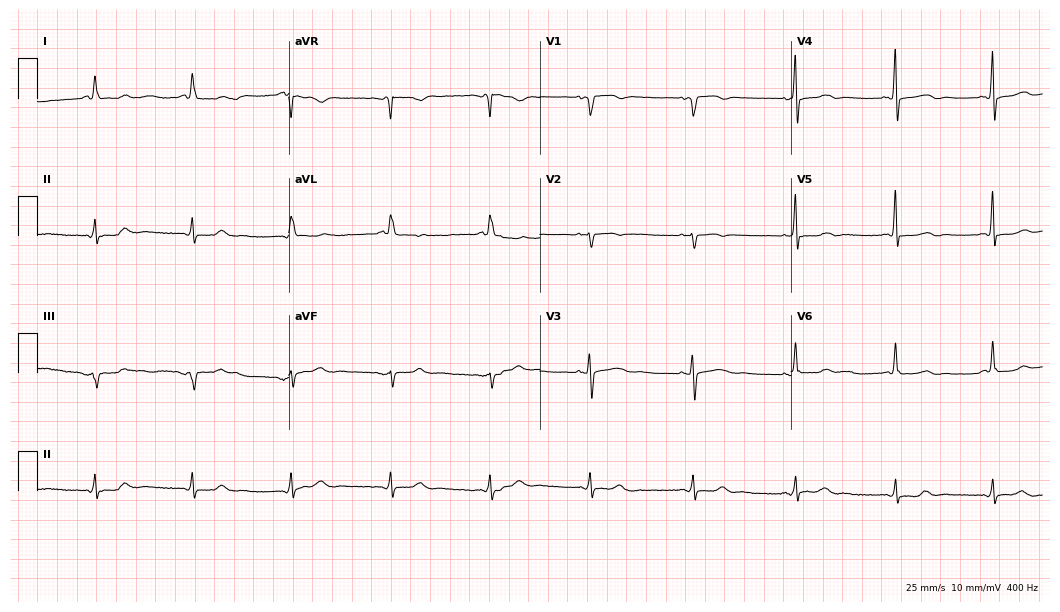
12-lead ECG from a female, 85 years old (10.2-second recording at 400 Hz). No first-degree AV block, right bundle branch block, left bundle branch block, sinus bradycardia, atrial fibrillation or sinus tachycardia recorded for this tracing. Other findings, if any, are not listed.